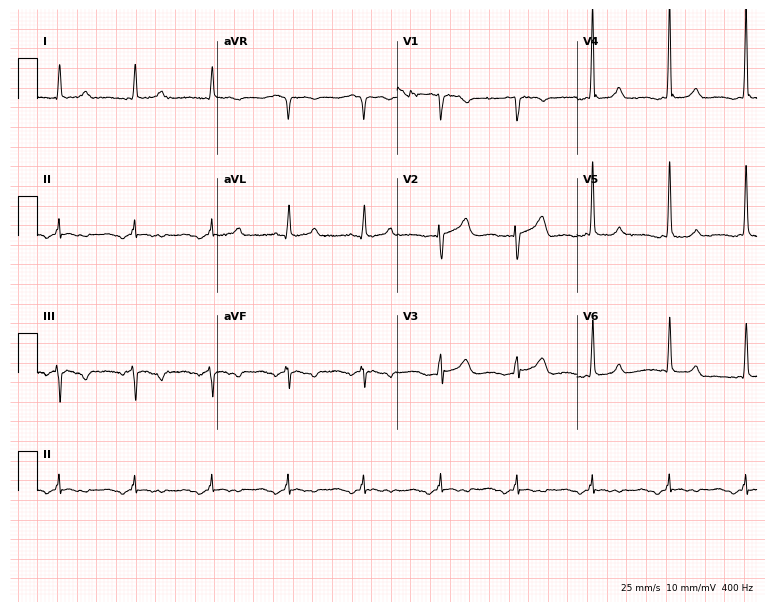
12-lead ECG from a female patient, 73 years old (7.3-second recording at 400 Hz). No first-degree AV block, right bundle branch block, left bundle branch block, sinus bradycardia, atrial fibrillation or sinus tachycardia recorded for this tracing.